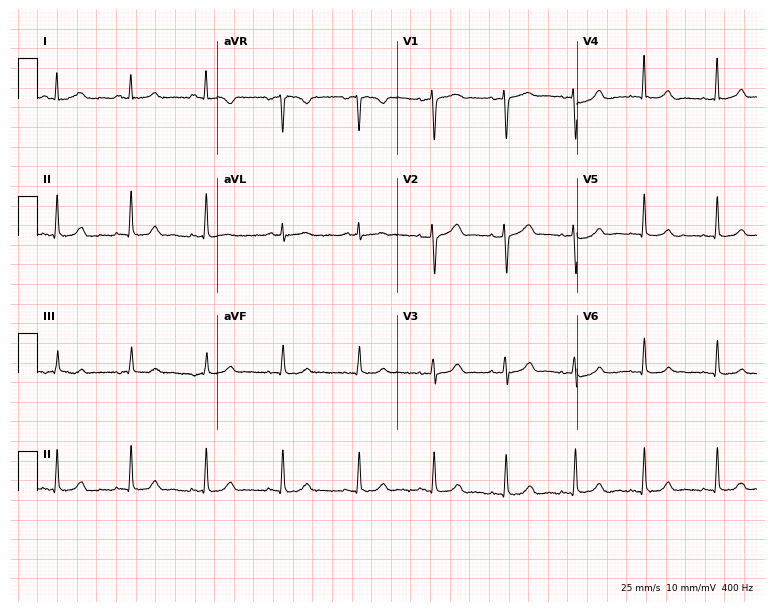
Resting 12-lead electrocardiogram. Patient: a 36-year-old woman. Read as a normal ECG.